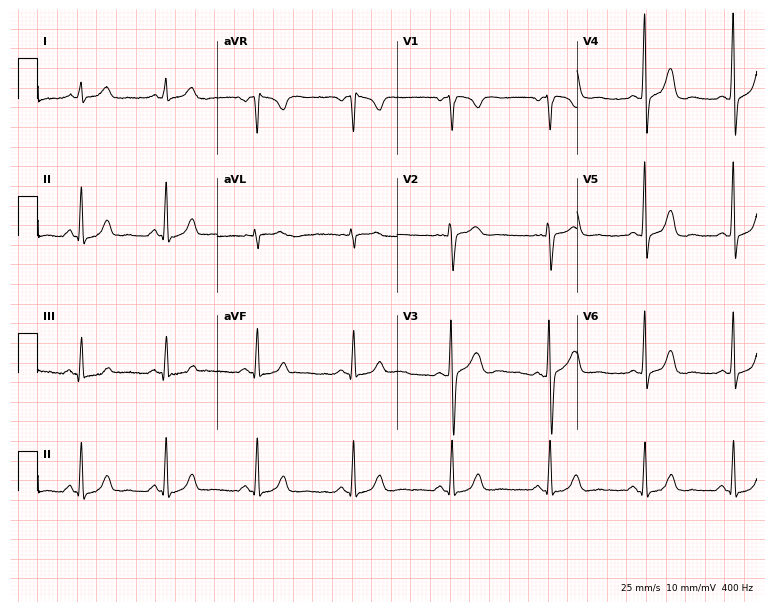
Resting 12-lead electrocardiogram. Patient: a 31-year-old female. Read as a normal ECG.